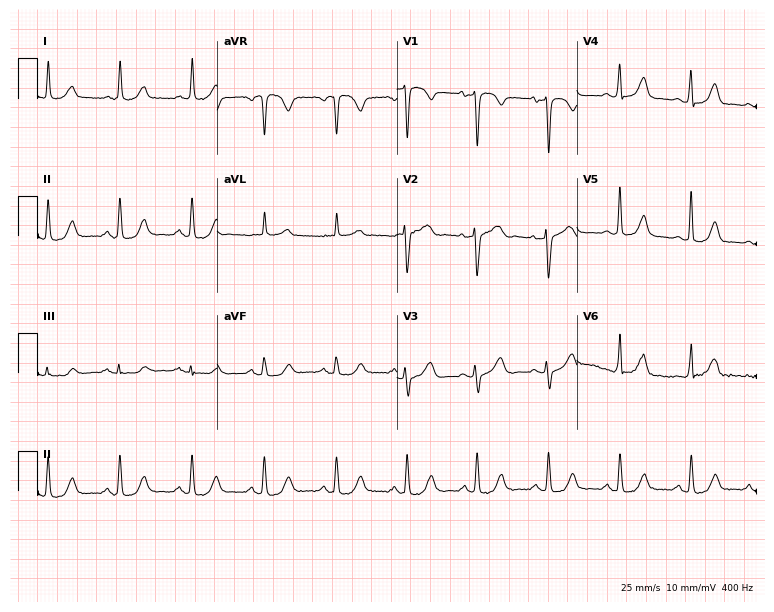
ECG (7.3-second recording at 400 Hz) — a female patient, 79 years old. Screened for six findings — first-degree AV block, right bundle branch block, left bundle branch block, sinus bradycardia, atrial fibrillation, sinus tachycardia — none is recorded. Findings outside these six are not listed.